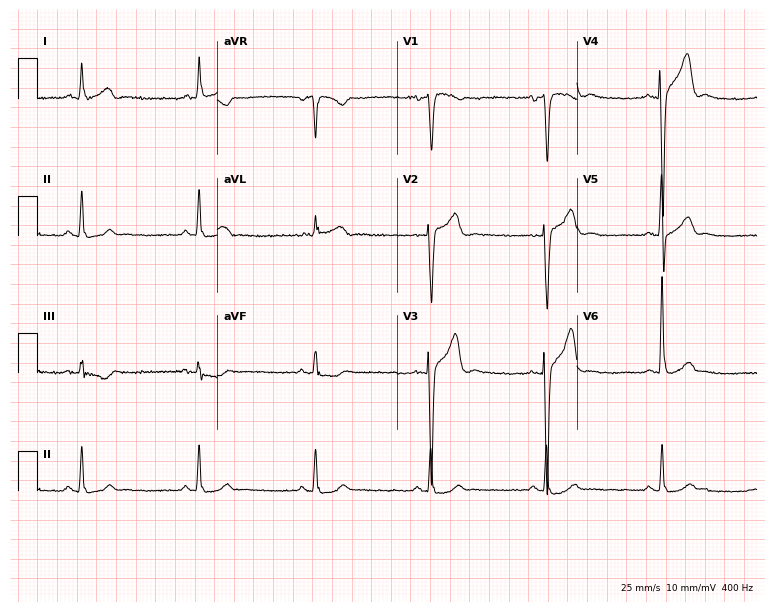
Standard 12-lead ECG recorded from a 62-year-old man. None of these six findings is recorded: first-degree AV block, right bundle branch block (RBBB), left bundle branch block (LBBB), sinus bradycardia, atrial fibrillation (AF), sinus tachycardia.